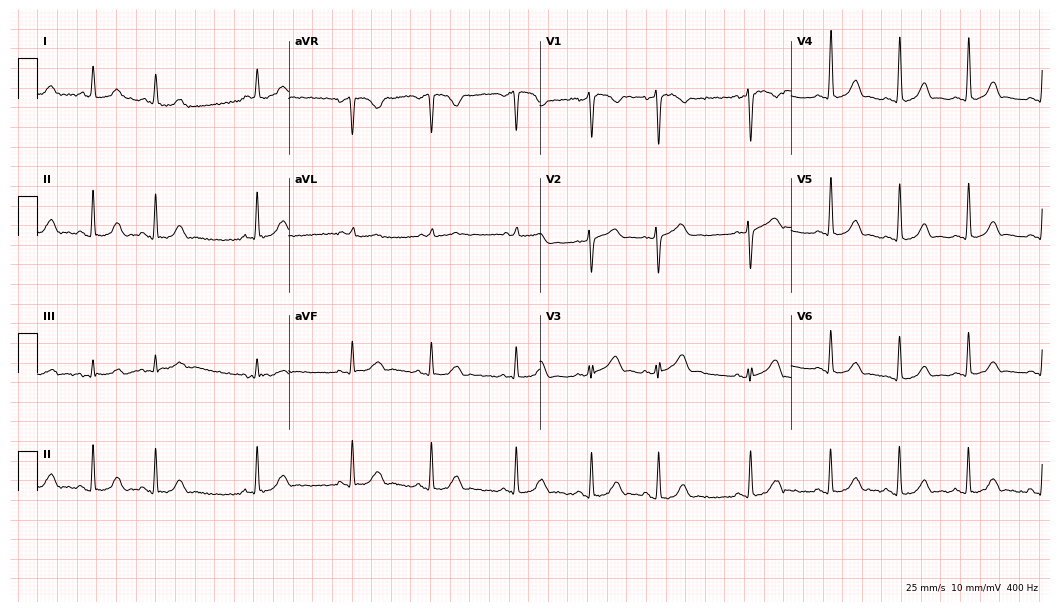
Standard 12-lead ECG recorded from an 18-year-old female patient (10.2-second recording at 400 Hz). Read as a normal ECG.